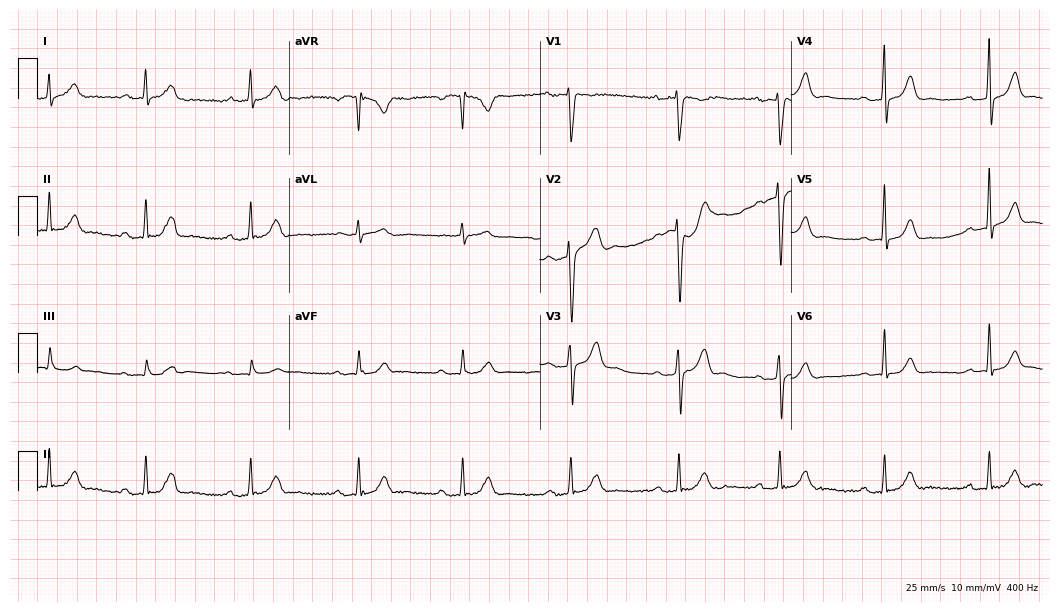
12-lead ECG from a 49-year-old male patient. Findings include first-degree AV block.